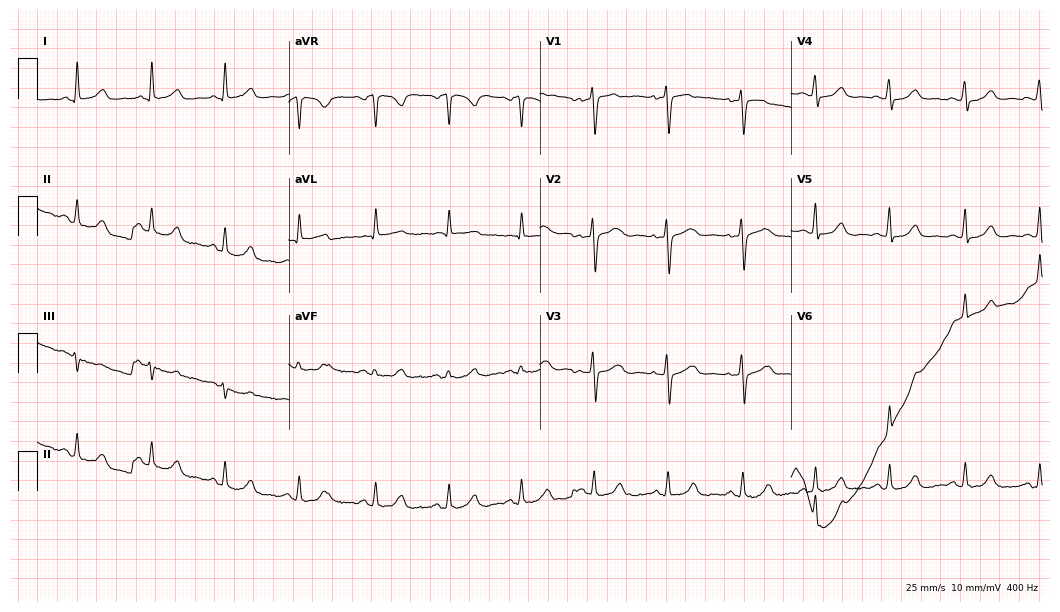
Electrocardiogram (10.2-second recording at 400 Hz), a female patient, 61 years old. Of the six screened findings (first-degree AV block, right bundle branch block, left bundle branch block, sinus bradycardia, atrial fibrillation, sinus tachycardia), none is recorded. Only these six findings were labelled.